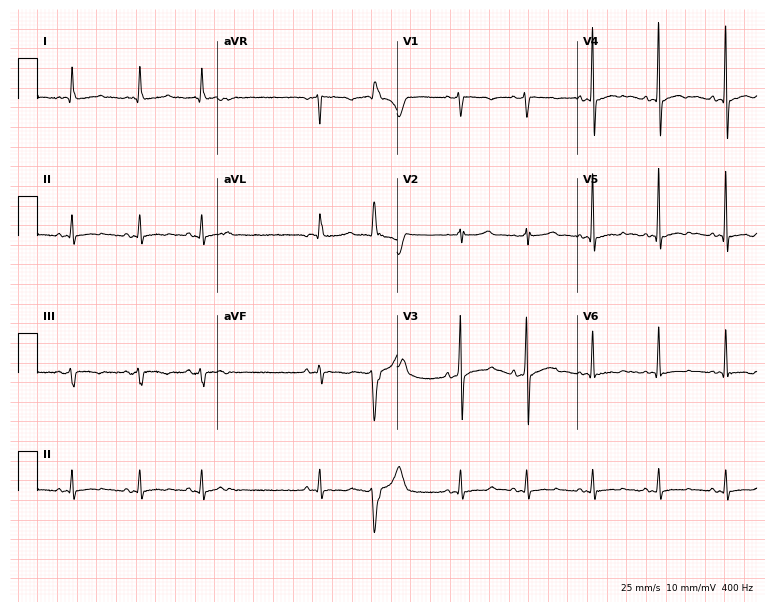
ECG — a 67-year-old male patient. Screened for six findings — first-degree AV block, right bundle branch block (RBBB), left bundle branch block (LBBB), sinus bradycardia, atrial fibrillation (AF), sinus tachycardia — none is recorded.